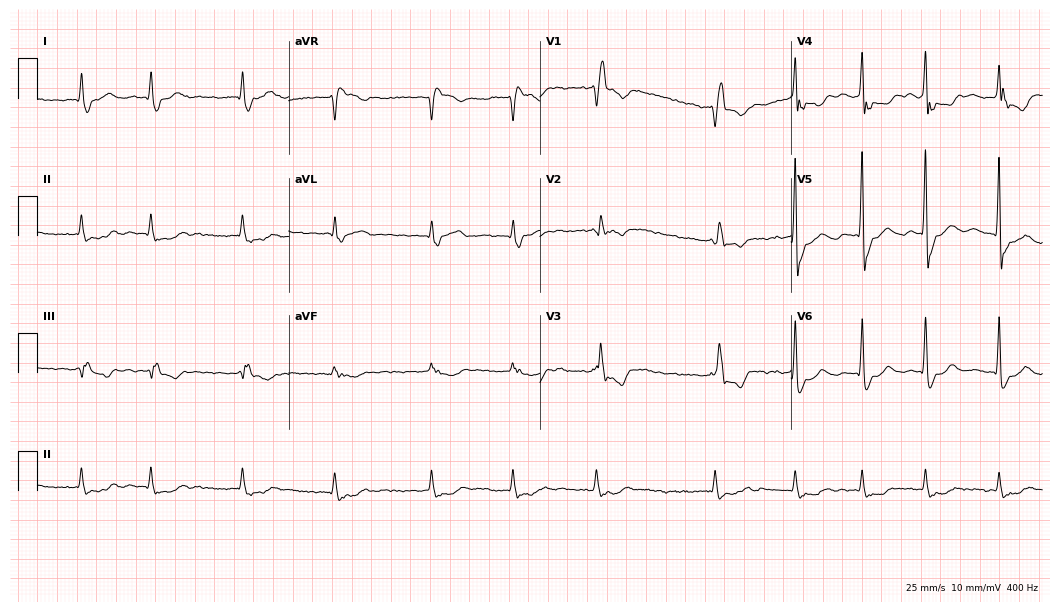
12-lead ECG from a 78-year-old female patient. Shows right bundle branch block (RBBB), atrial fibrillation (AF).